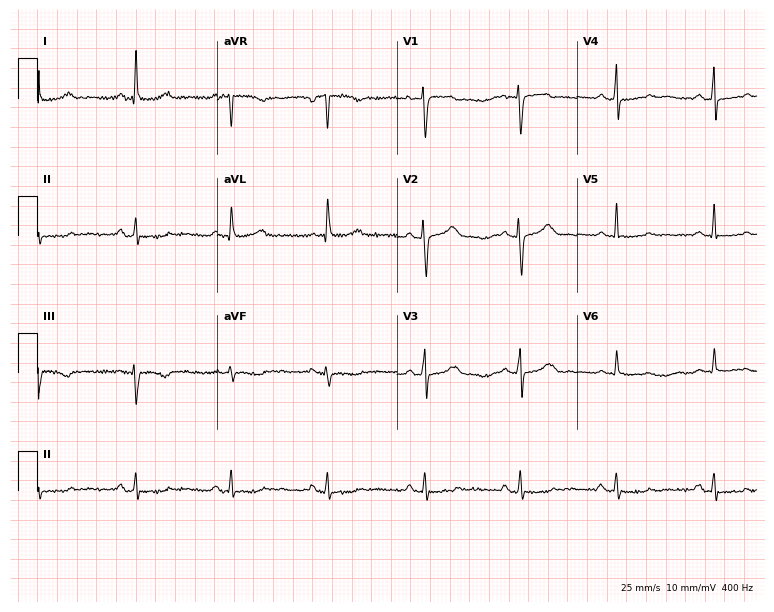
12-lead ECG from a 65-year-old female patient. No first-degree AV block, right bundle branch block, left bundle branch block, sinus bradycardia, atrial fibrillation or sinus tachycardia recorded for this tracing. Findings outside these six are not listed.